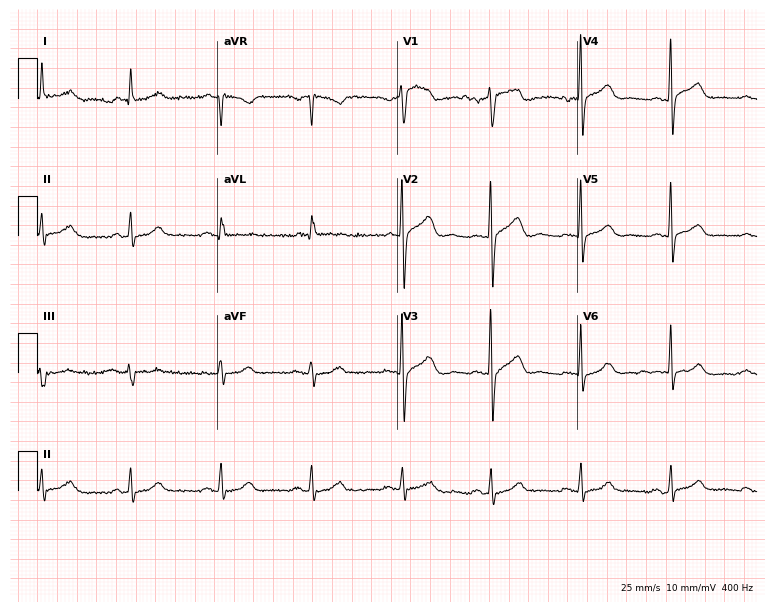
ECG — a 66-year-old male patient. Labelled as a normal ECG.